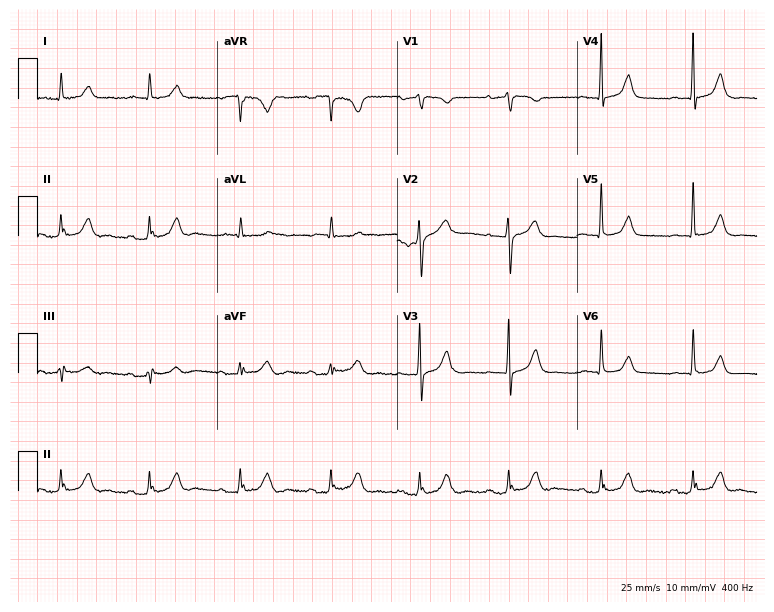
Standard 12-lead ECG recorded from a 79-year-old female patient. The tracing shows first-degree AV block.